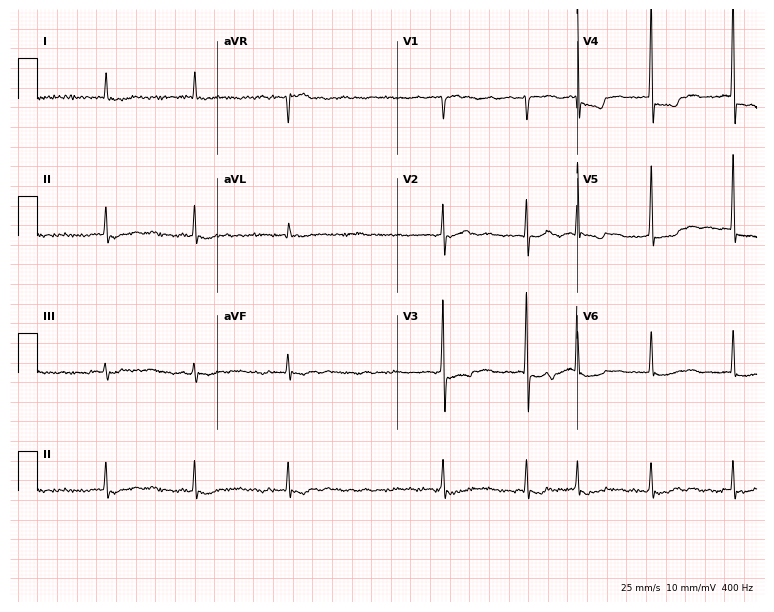
ECG — a male, 85 years old. Findings include atrial fibrillation.